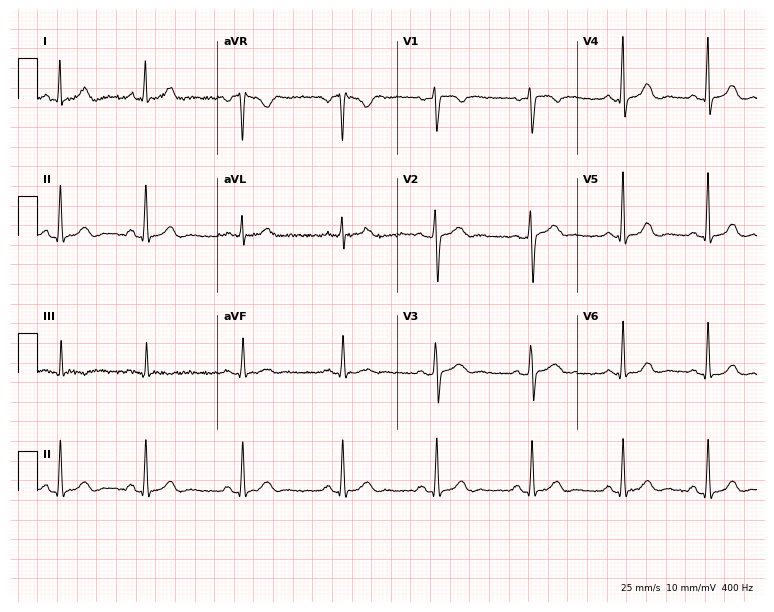
Electrocardiogram, a 46-year-old female. Of the six screened findings (first-degree AV block, right bundle branch block (RBBB), left bundle branch block (LBBB), sinus bradycardia, atrial fibrillation (AF), sinus tachycardia), none is recorded.